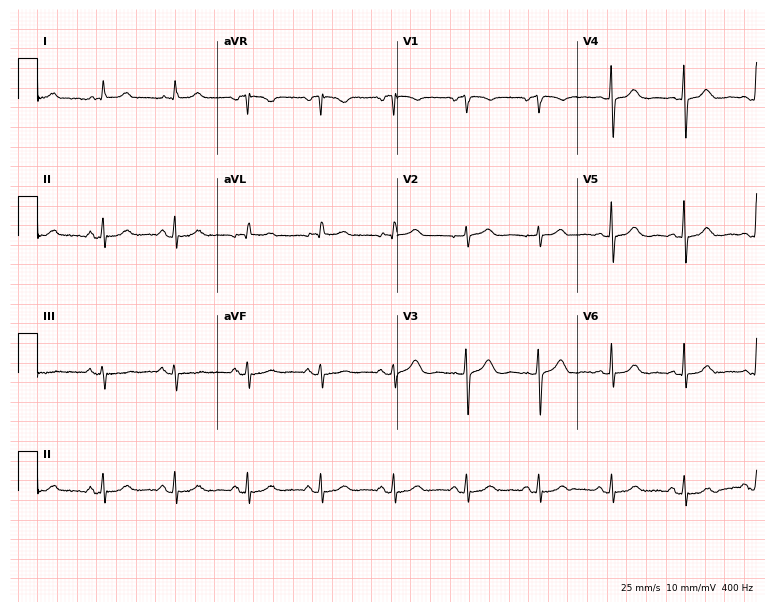
12-lead ECG from an 85-year-old female (7.3-second recording at 400 Hz). Recorded interpretation: within normal limits.